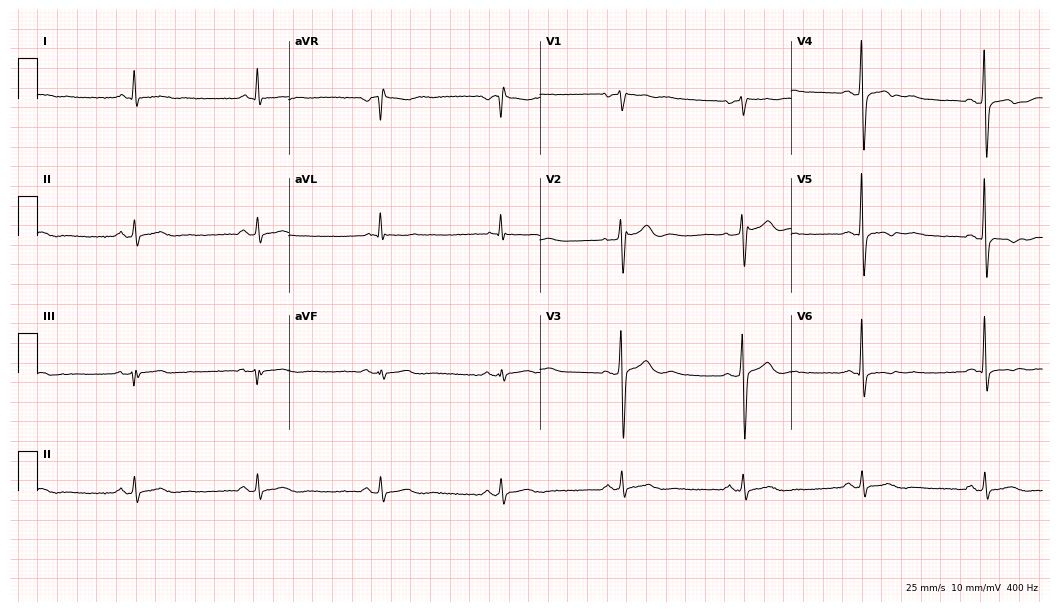
Resting 12-lead electrocardiogram (10.2-second recording at 400 Hz). Patient: a female, 67 years old. The tracing shows sinus bradycardia (a sinus rate of 50 beats per minute or less).